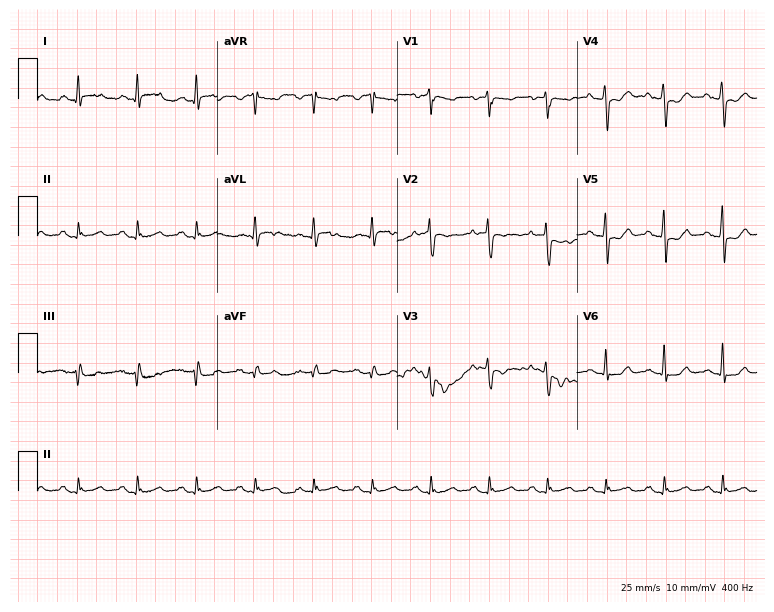
Standard 12-lead ECG recorded from a female, 70 years old (7.3-second recording at 400 Hz). None of these six findings is recorded: first-degree AV block, right bundle branch block, left bundle branch block, sinus bradycardia, atrial fibrillation, sinus tachycardia.